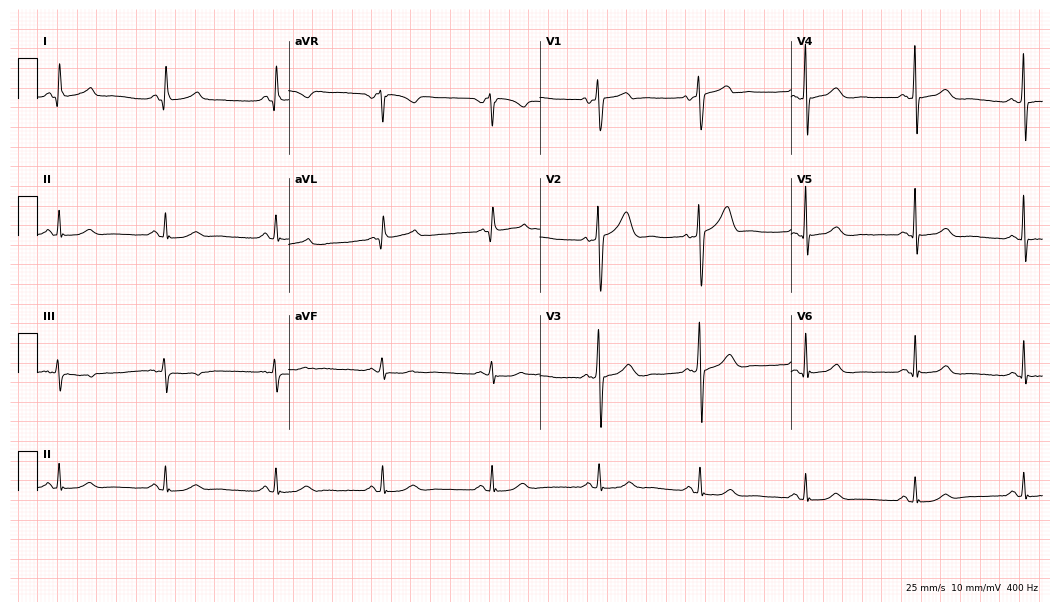
Standard 12-lead ECG recorded from a man, 63 years old. Read as a normal ECG.